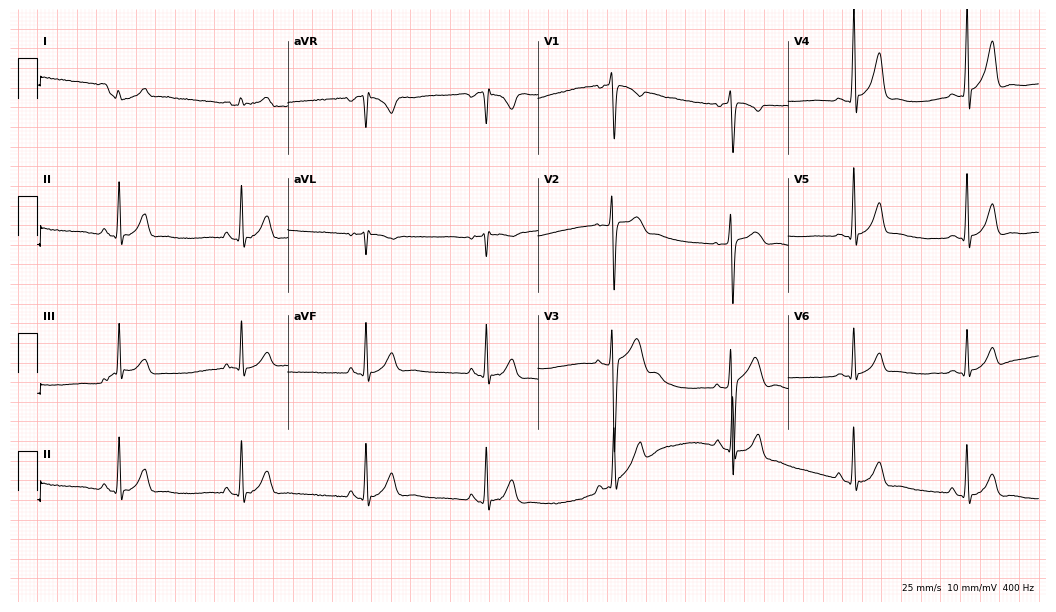
12-lead ECG (10.2-second recording at 400 Hz) from a male, 17 years old. Labelled as a normal ECG.